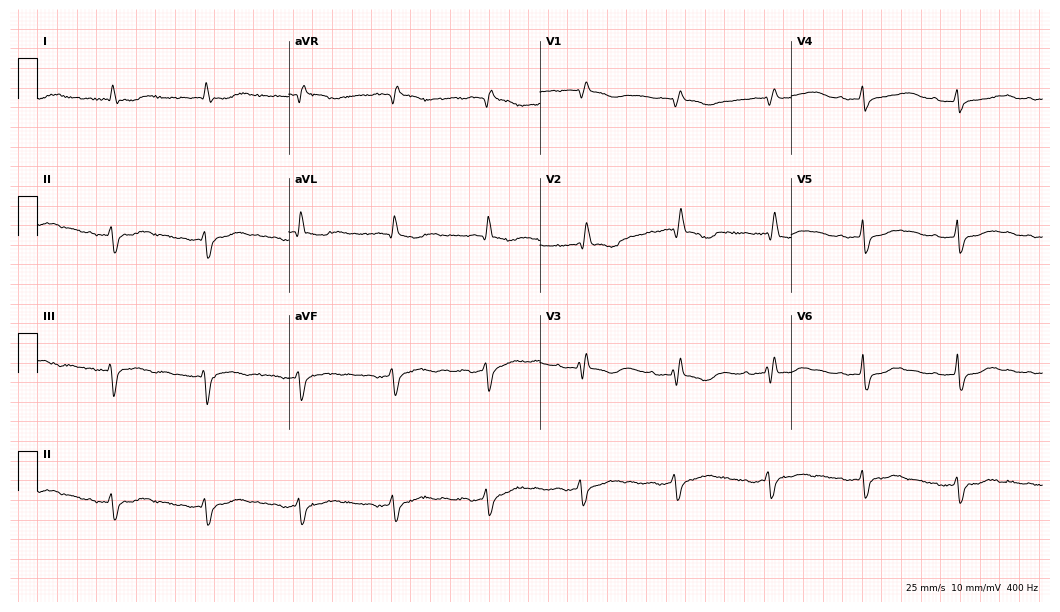
12-lead ECG (10.2-second recording at 400 Hz) from an 80-year-old woman. Findings include first-degree AV block, right bundle branch block (RBBB).